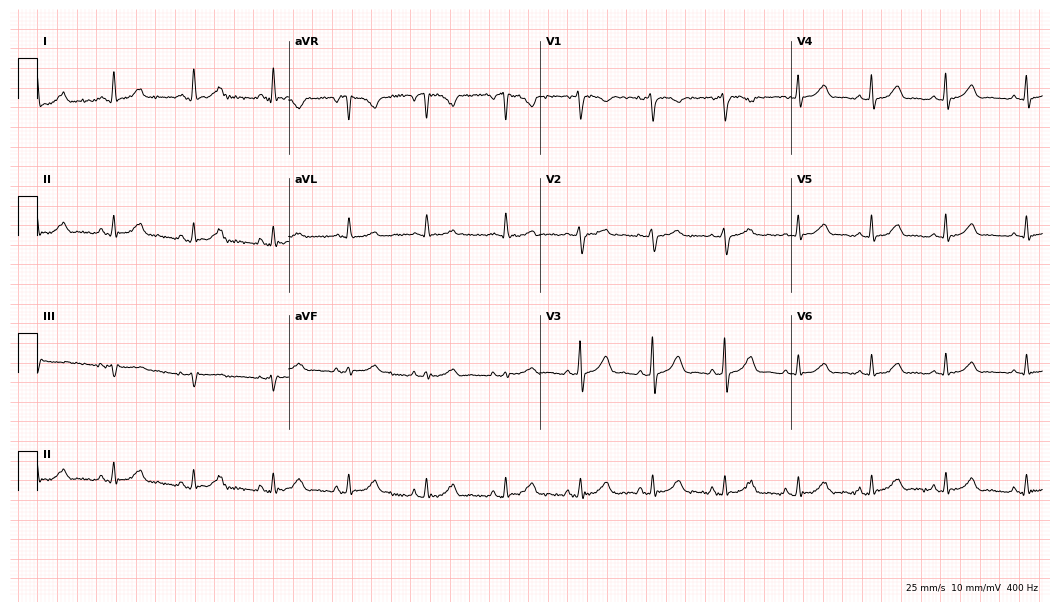
ECG (10.2-second recording at 400 Hz) — a 41-year-old female. Labelled as a normal ECG.